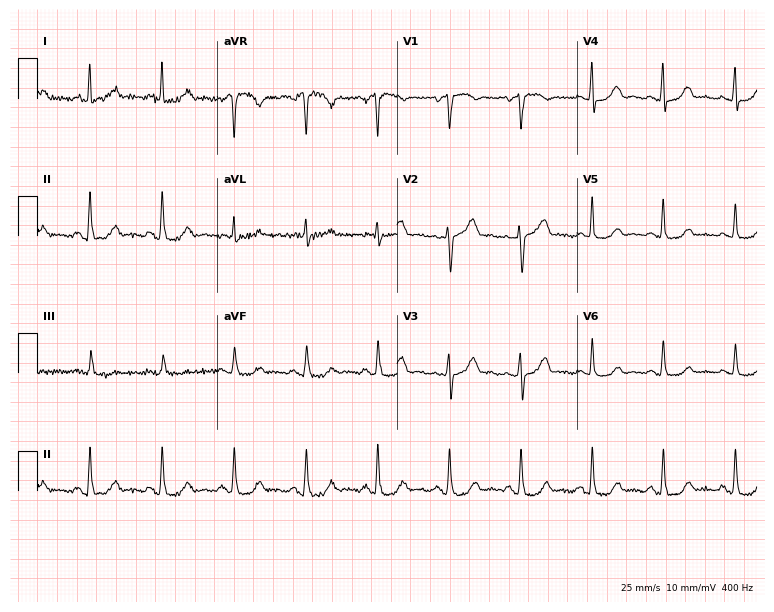
12-lead ECG from a 70-year-old female patient (7.3-second recording at 400 Hz). No first-degree AV block, right bundle branch block, left bundle branch block, sinus bradycardia, atrial fibrillation or sinus tachycardia recorded for this tracing.